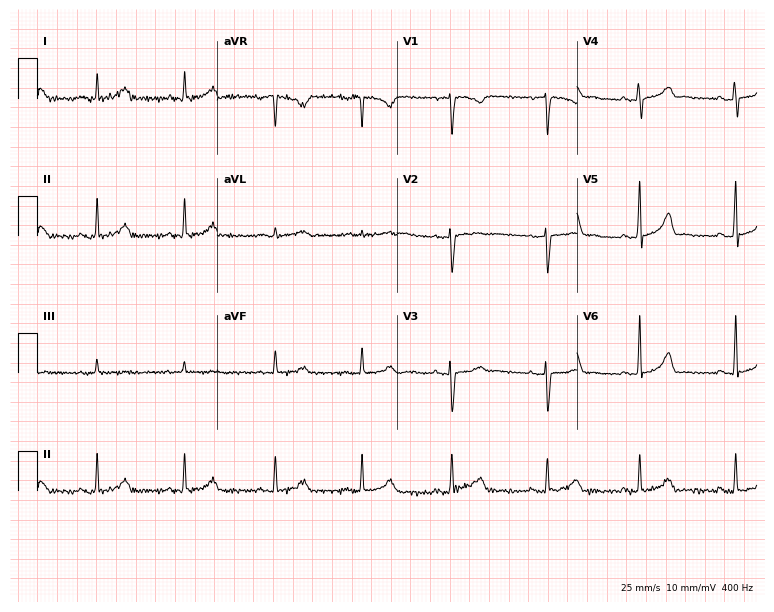
12-lead ECG from a female patient, 43 years old. Labelled as a normal ECG.